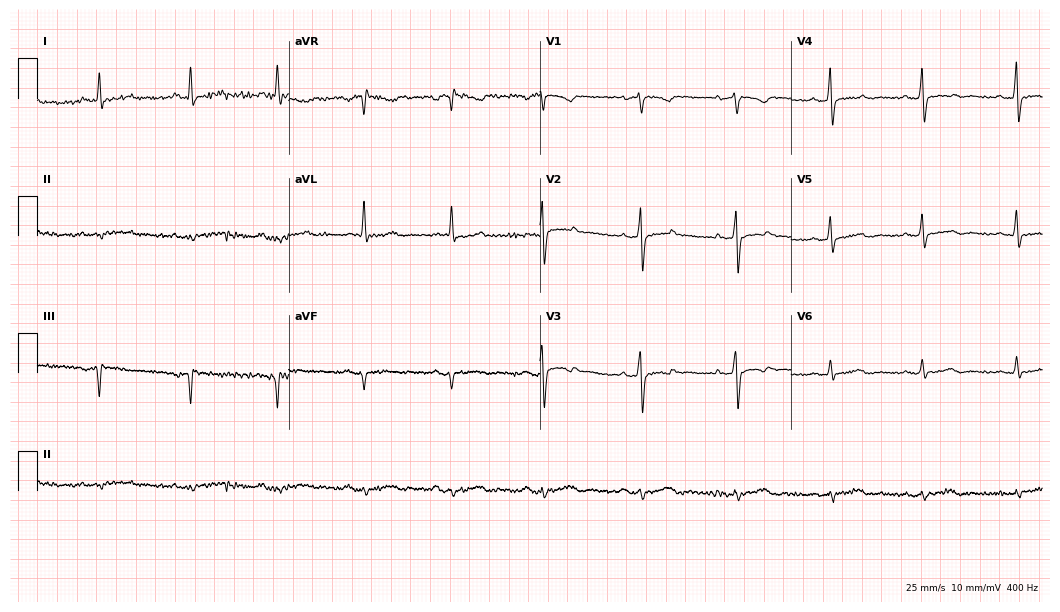
12-lead ECG from a man, 50 years old. Screened for six findings — first-degree AV block, right bundle branch block, left bundle branch block, sinus bradycardia, atrial fibrillation, sinus tachycardia — none is recorded. Only these six findings were labelled.